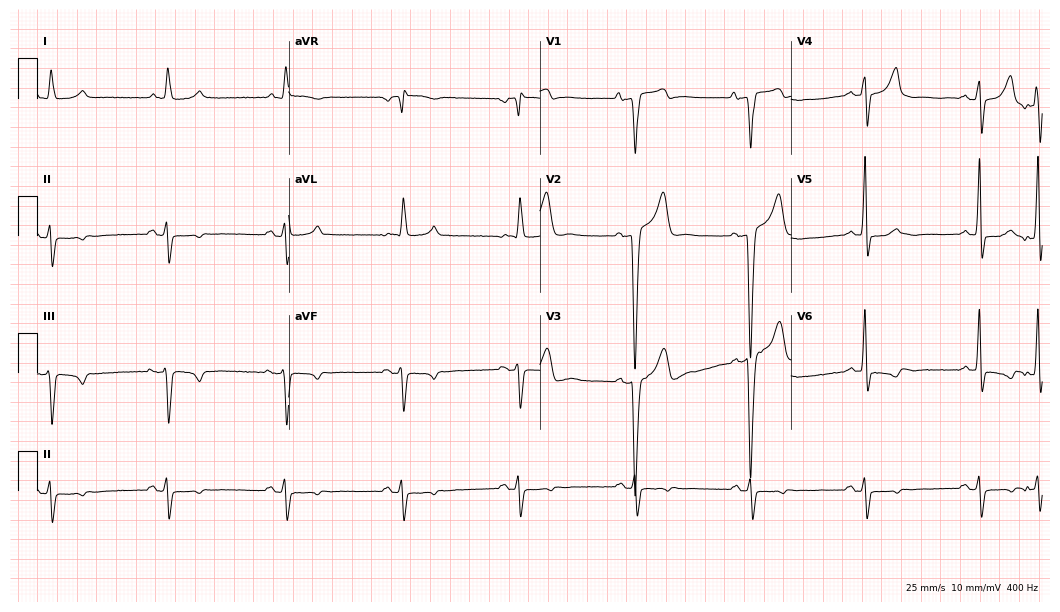
Standard 12-lead ECG recorded from a 66-year-old man. None of these six findings is recorded: first-degree AV block, right bundle branch block (RBBB), left bundle branch block (LBBB), sinus bradycardia, atrial fibrillation (AF), sinus tachycardia.